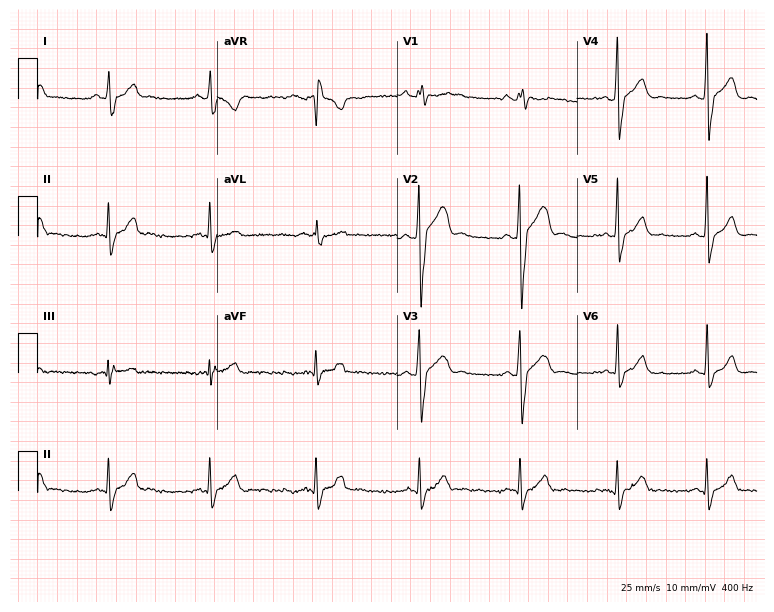
Standard 12-lead ECG recorded from a 39-year-old male patient. None of these six findings is recorded: first-degree AV block, right bundle branch block (RBBB), left bundle branch block (LBBB), sinus bradycardia, atrial fibrillation (AF), sinus tachycardia. Other findings, if any, are not listed.